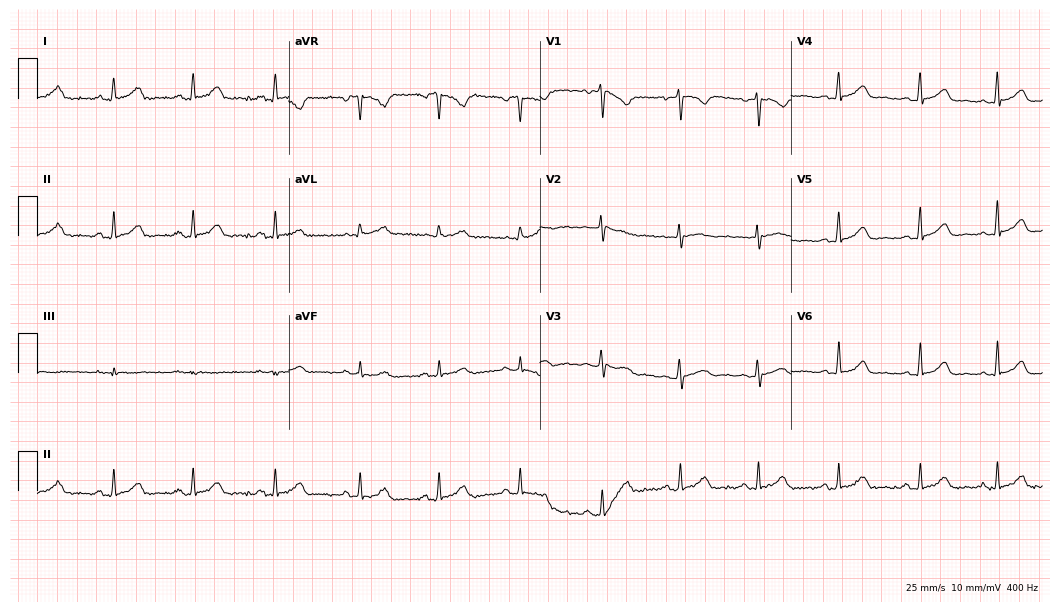
Standard 12-lead ECG recorded from a 46-year-old female patient. Read as a normal ECG.